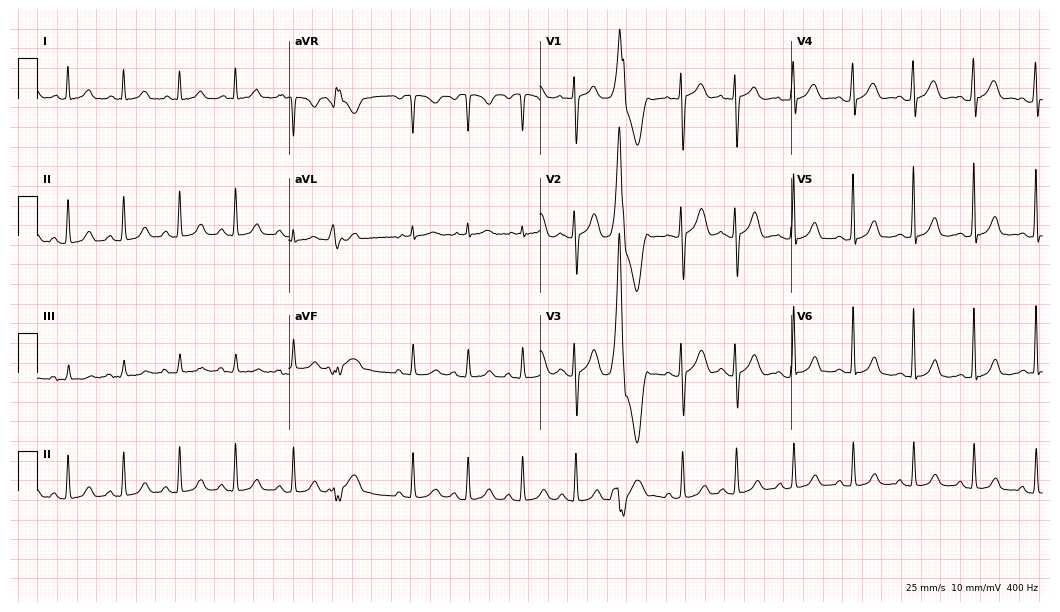
12-lead ECG from a female patient, 38 years old (10.2-second recording at 400 Hz). Shows sinus tachycardia (a sinus rate of 100 beats per minute or more).